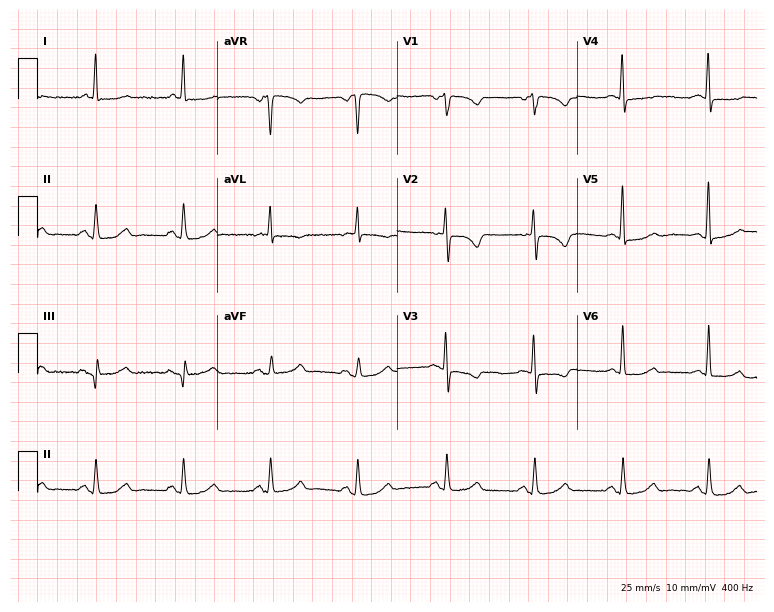
ECG — a 71-year-old woman. Screened for six findings — first-degree AV block, right bundle branch block (RBBB), left bundle branch block (LBBB), sinus bradycardia, atrial fibrillation (AF), sinus tachycardia — none is recorded.